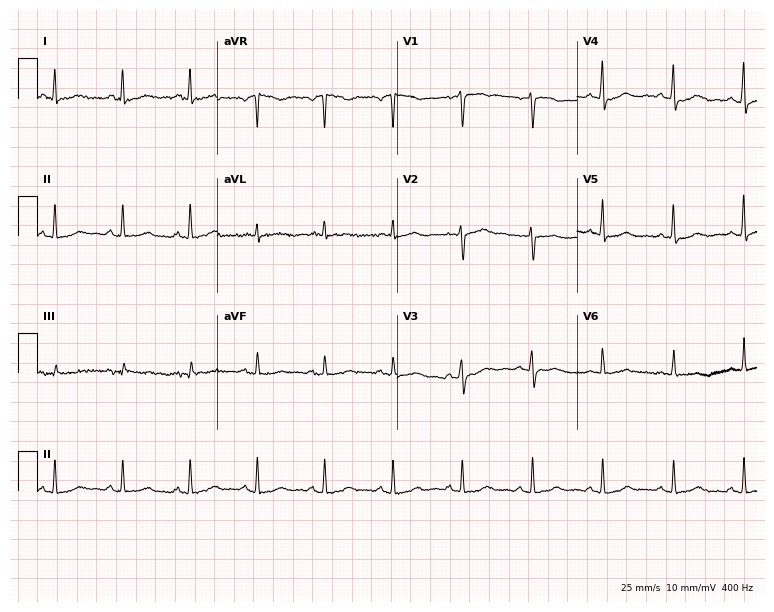
Electrocardiogram (7.3-second recording at 400 Hz), a female patient, 65 years old. Of the six screened findings (first-degree AV block, right bundle branch block, left bundle branch block, sinus bradycardia, atrial fibrillation, sinus tachycardia), none is recorded.